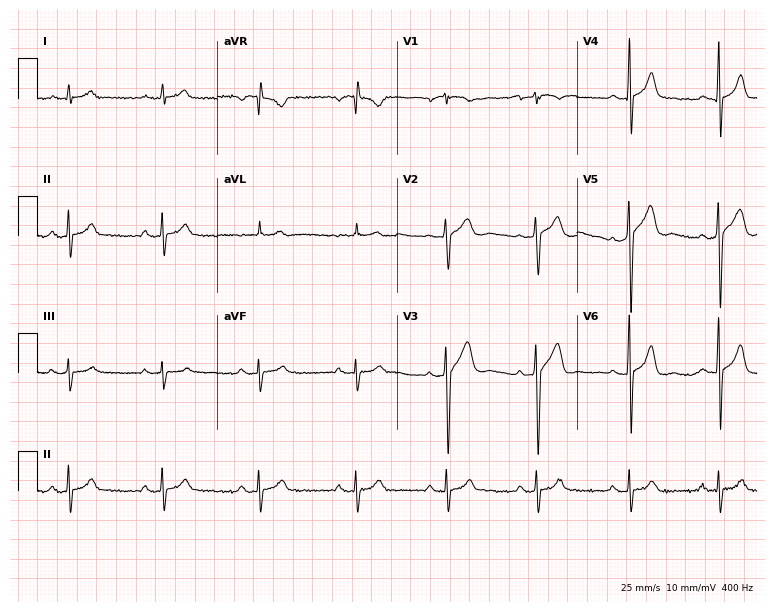
12-lead ECG from a 19-year-old male patient. Labelled as a normal ECG.